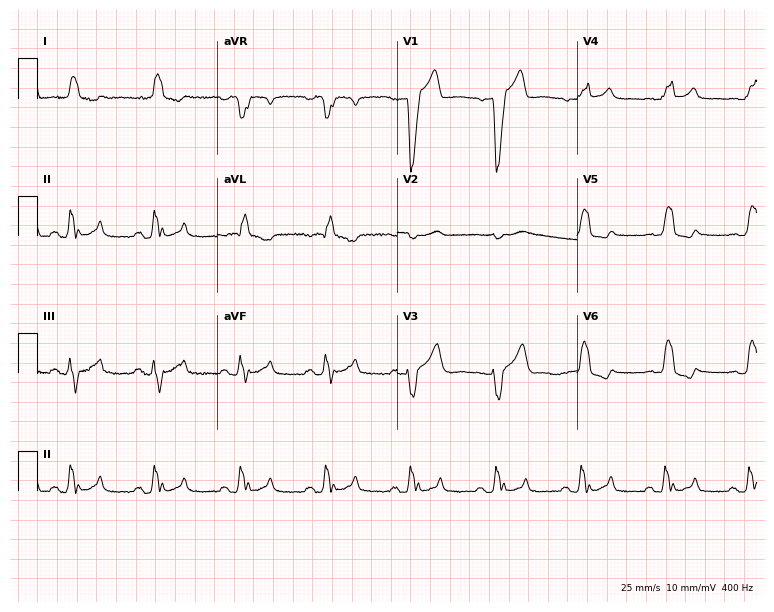
12-lead ECG from a male patient, 67 years old (7.3-second recording at 400 Hz). Shows left bundle branch block.